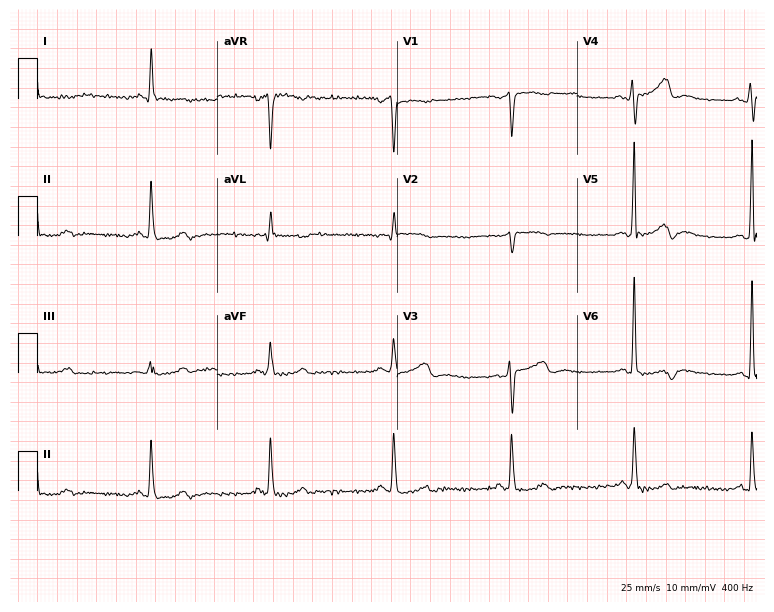
12-lead ECG (7.3-second recording at 400 Hz) from a female patient, 66 years old. Screened for six findings — first-degree AV block, right bundle branch block, left bundle branch block, sinus bradycardia, atrial fibrillation, sinus tachycardia — none is recorded.